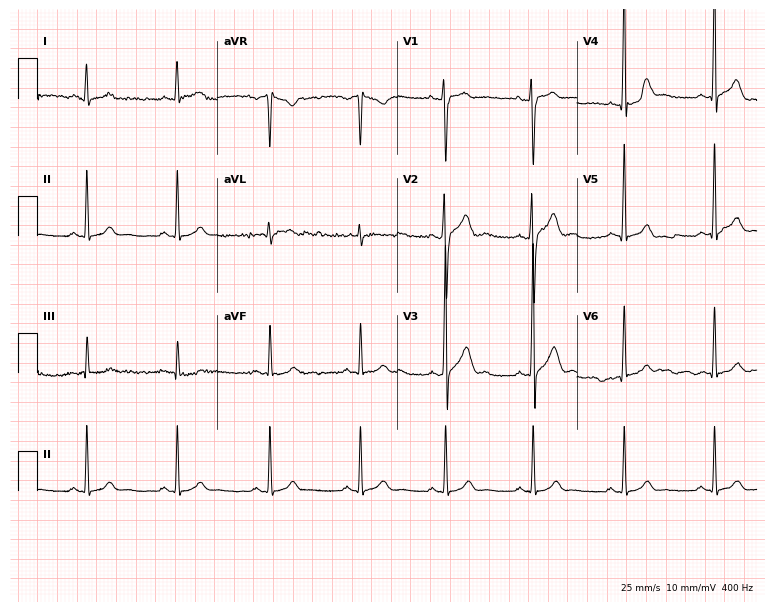
Resting 12-lead electrocardiogram (7.3-second recording at 400 Hz). Patient: a male, 25 years old. None of these six findings is recorded: first-degree AV block, right bundle branch block (RBBB), left bundle branch block (LBBB), sinus bradycardia, atrial fibrillation (AF), sinus tachycardia. Findings outside these six are not listed.